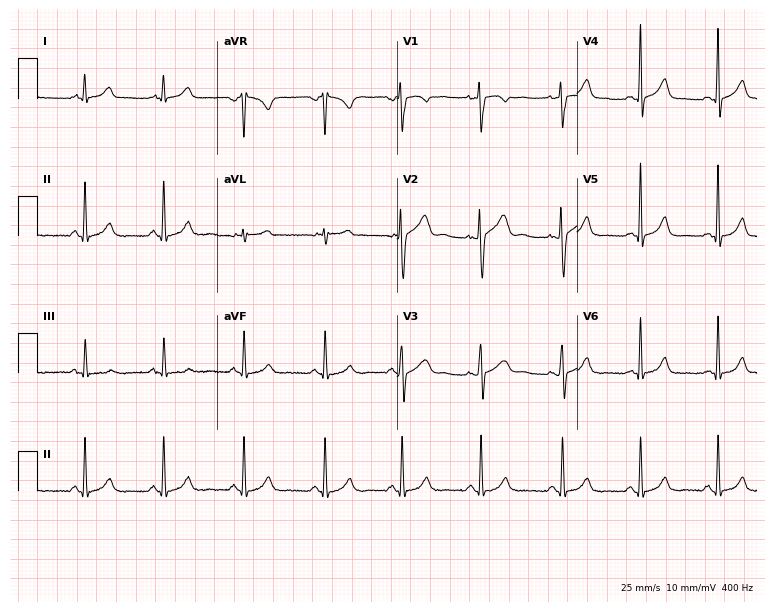
12-lead ECG (7.3-second recording at 400 Hz) from a 31-year-old female patient. Labelled as a normal ECG.